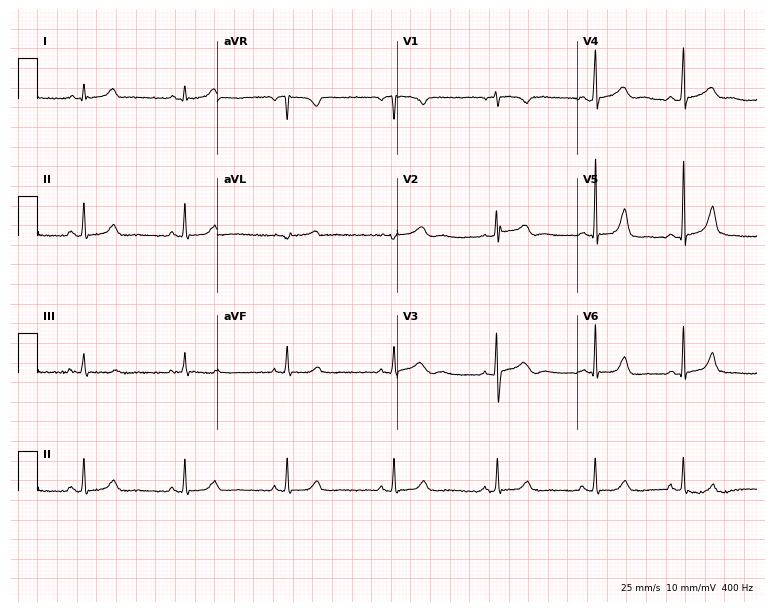
Electrocardiogram, a female, 22 years old. Overall reading on record: normal ECG.